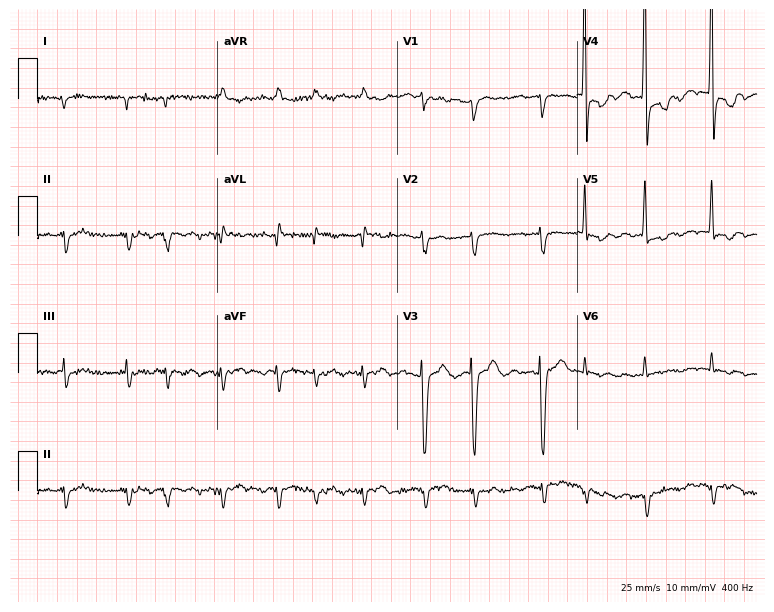
Standard 12-lead ECG recorded from a male patient, 85 years old (7.3-second recording at 400 Hz). None of these six findings is recorded: first-degree AV block, right bundle branch block, left bundle branch block, sinus bradycardia, atrial fibrillation, sinus tachycardia.